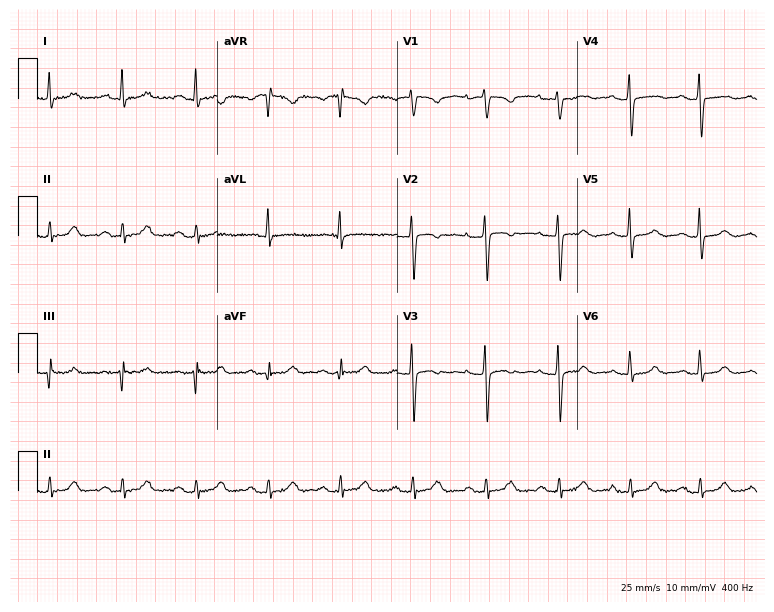
12-lead ECG from a 58-year-old woman. Recorded interpretation: within normal limits.